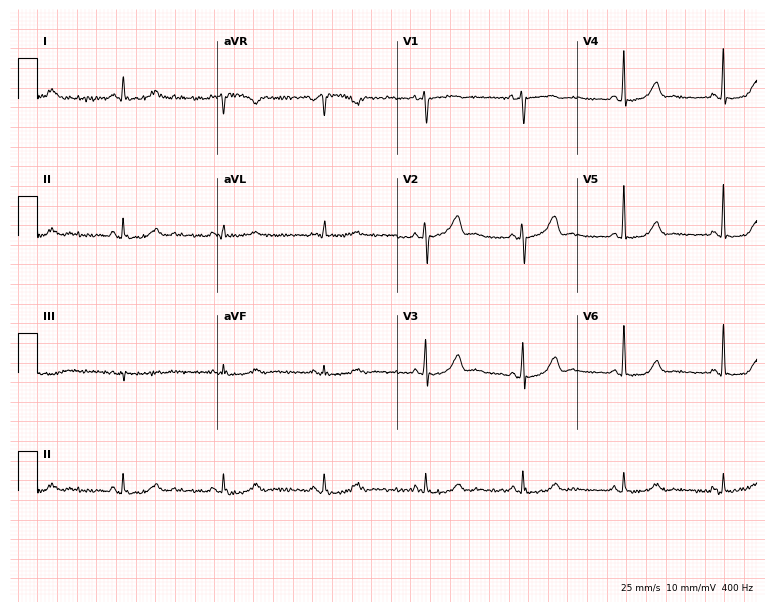
Standard 12-lead ECG recorded from a 62-year-old woman. Read as a normal ECG.